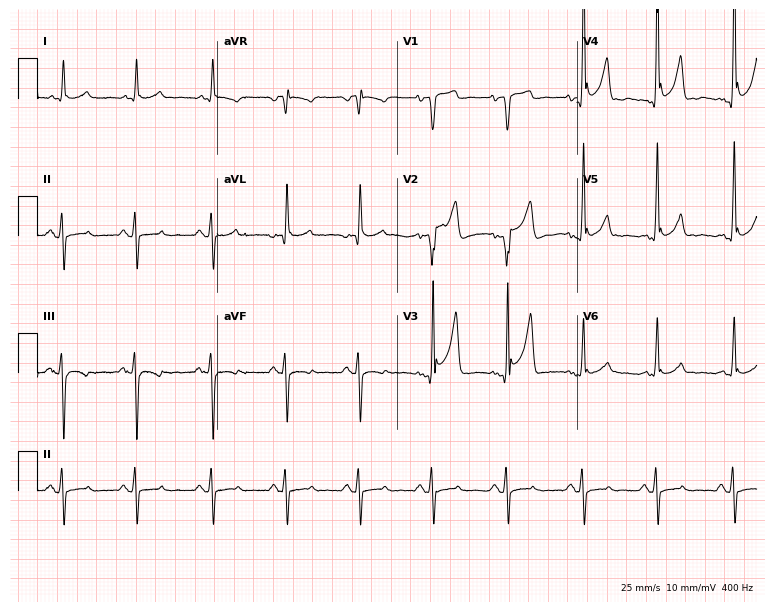
Resting 12-lead electrocardiogram (7.3-second recording at 400 Hz). Patient: a male, 64 years old. None of these six findings is recorded: first-degree AV block, right bundle branch block, left bundle branch block, sinus bradycardia, atrial fibrillation, sinus tachycardia. Only these six findings were labelled.